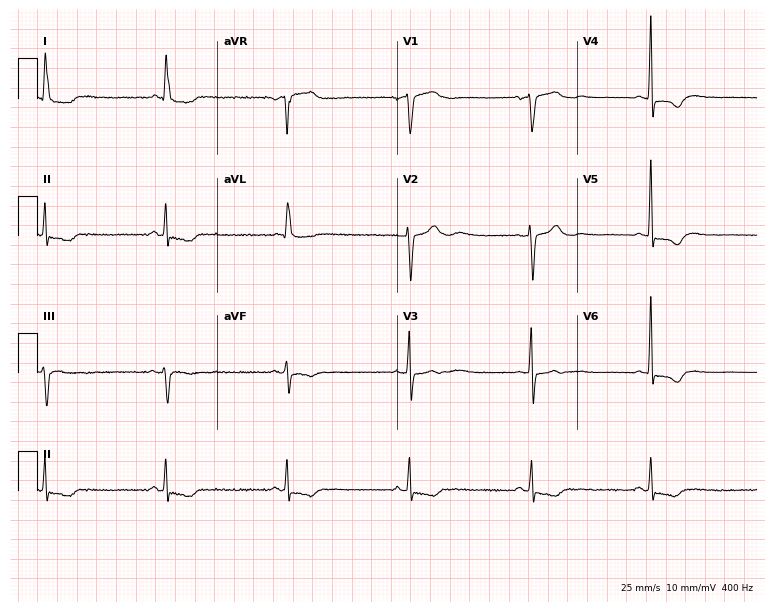
12-lead ECG (7.3-second recording at 400 Hz) from a 63-year-old female patient. Screened for six findings — first-degree AV block, right bundle branch block (RBBB), left bundle branch block (LBBB), sinus bradycardia, atrial fibrillation (AF), sinus tachycardia — none is recorded.